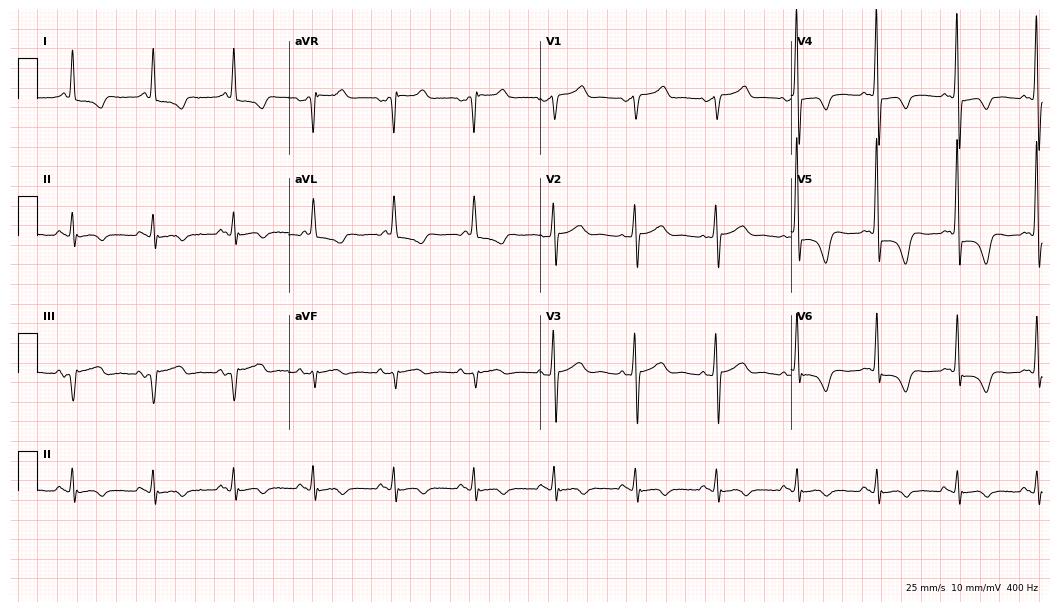
Electrocardiogram, a male, 73 years old. Of the six screened findings (first-degree AV block, right bundle branch block, left bundle branch block, sinus bradycardia, atrial fibrillation, sinus tachycardia), none is recorded.